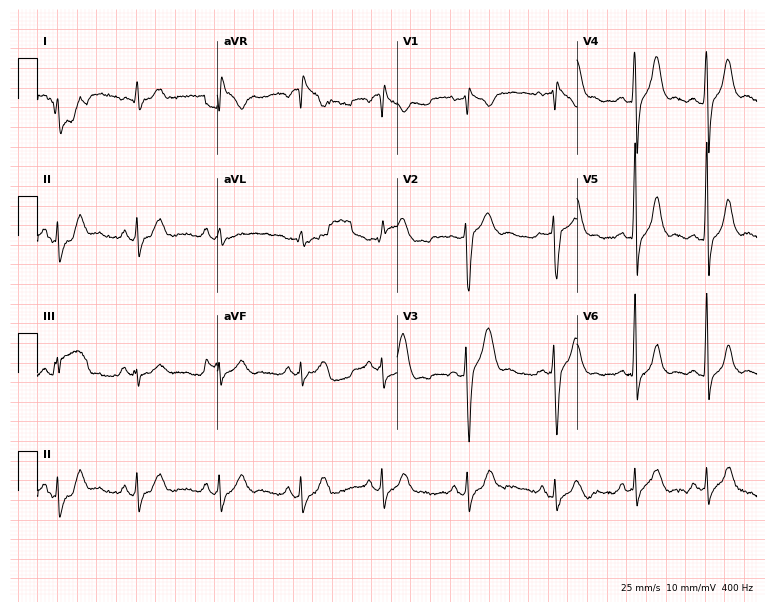
ECG (7.3-second recording at 400 Hz) — a male patient, 36 years old. Screened for six findings — first-degree AV block, right bundle branch block, left bundle branch block, sinus bradycardia, atrial fibrillation, sinus tachycardia — none is recorded.